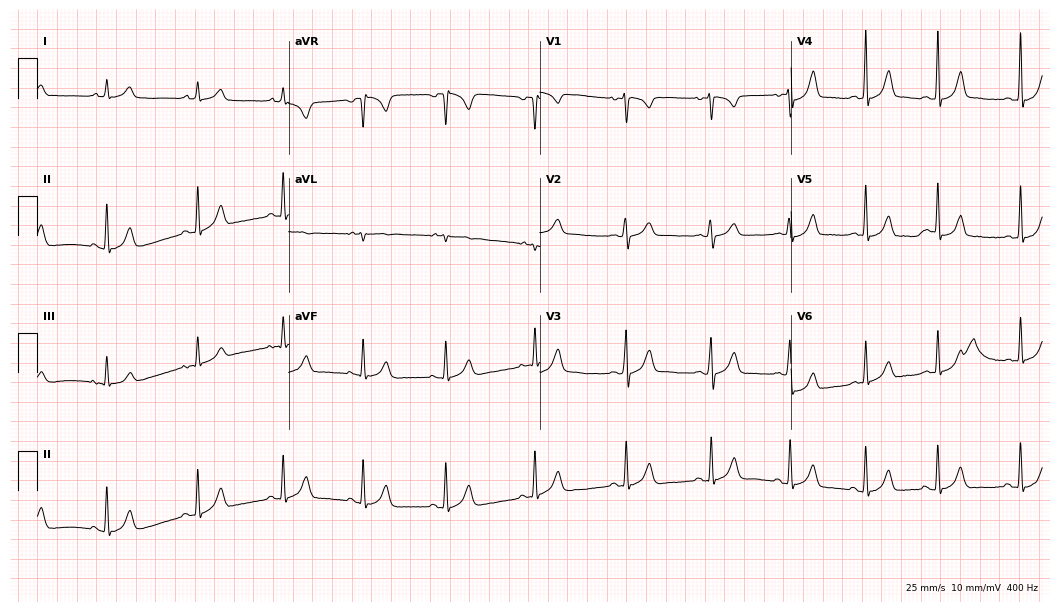
Electrocardiogram, a female patient, 23 years old. Overall reading on record: normal ECG.